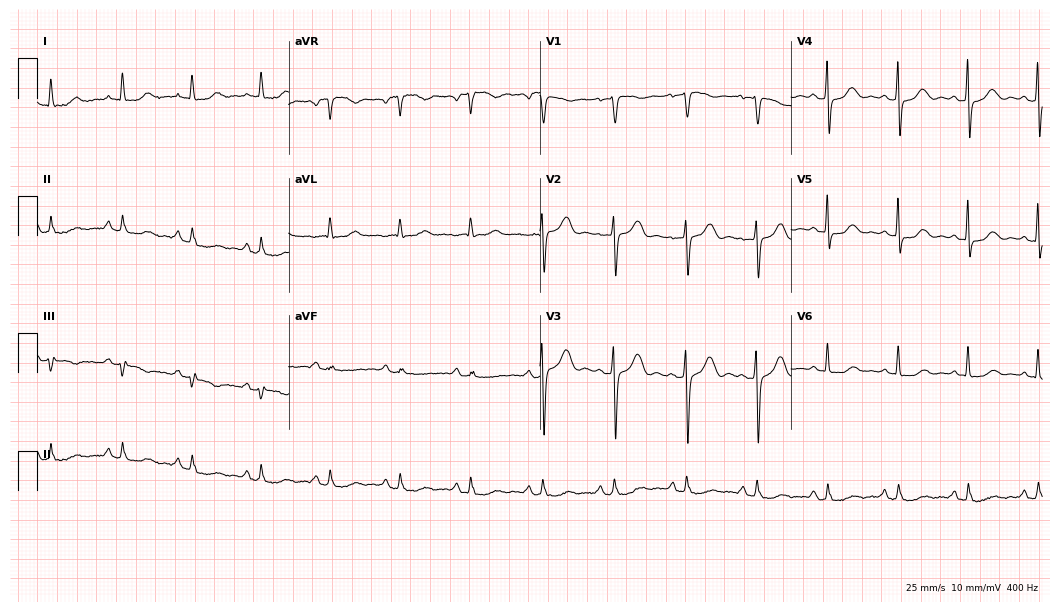
12-lead ECG from a 61-year-old female. No first-degree AV block, right bundle branch block, left bundle branch block, sinus bradycardia, atrial fibrillation or sinus tachycardia recorded for this tracing. Findings outside these six are not listed.